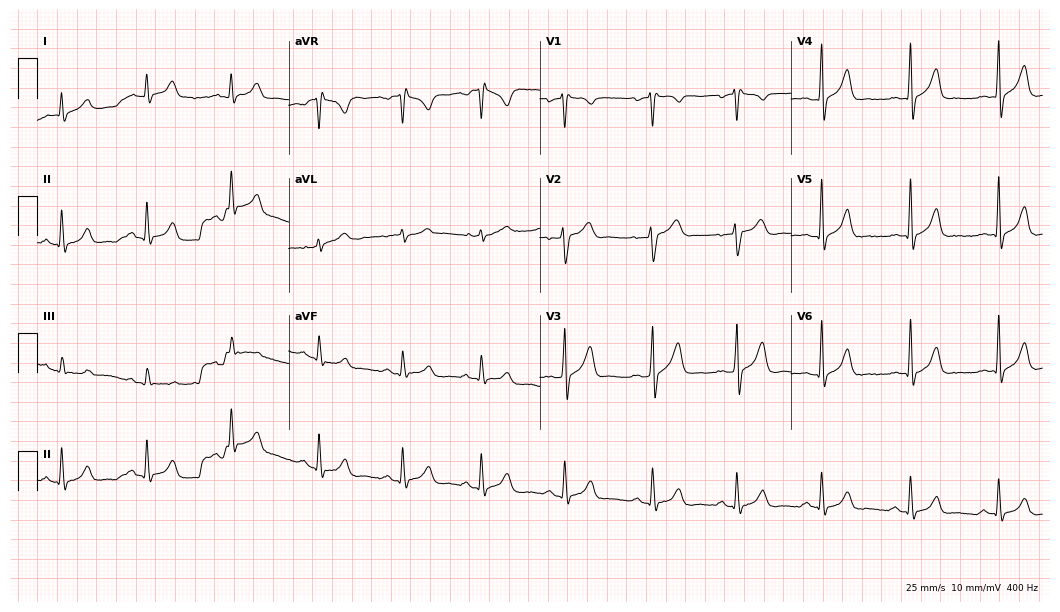
12-lead ECG (10.2-second recording at 400 Hz) from a 32-year-old male. Labelled as a normal ECG.